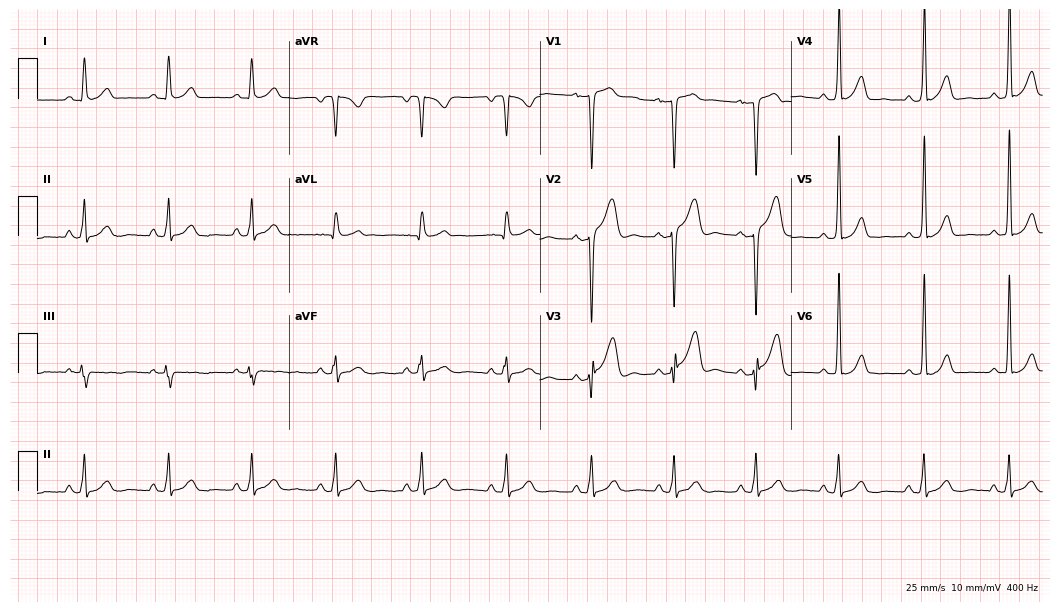
ECG — a 44-year-old man. Screened for six findings — first-degree AV block, right bundle branch block (RBBB), left bundle branch block (LBBB), sinus bradycardia, atrial fibrillation (AF), sinus tachycardia — none is recorded.